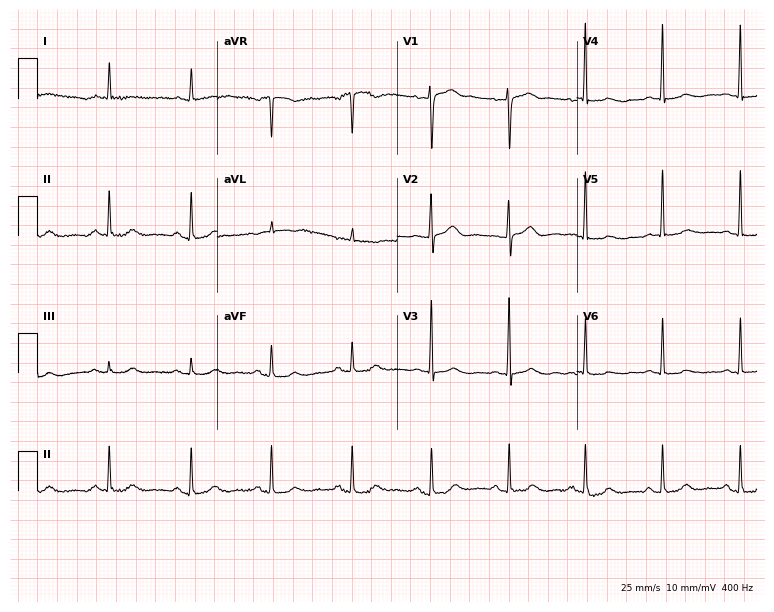
12-lead ECG (7.3-second recording at 400 Hz) from a female, 68 years old. Screened for six findings — first-degree AV block, right bundle branch block, left bundle branch block, sinus bradycardia, atrial fibrillation, sinus tachycardia — none is recorded. Other findings, if any, are not listed.